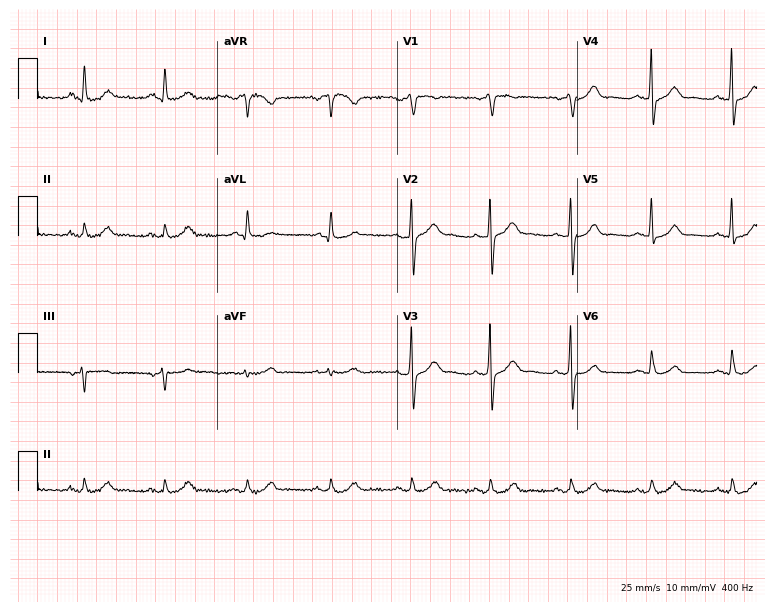
ECG (7.3-second recording at 400 Hz) — a male patient, 61 years old. Labelled as a normal ECG.